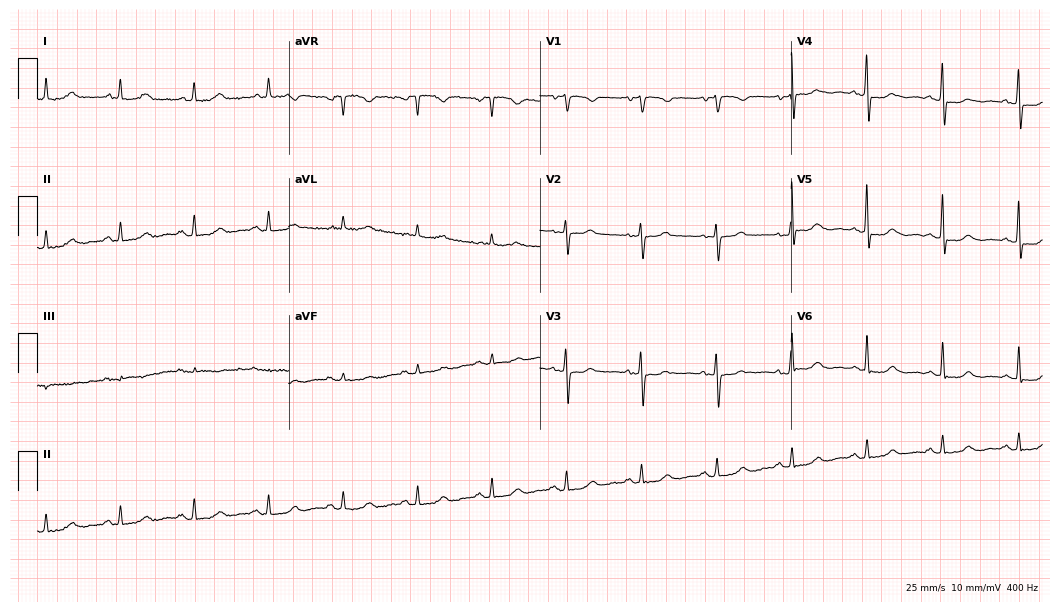
Resting 12-lead electrocardiogram (10.2-second recording at 400 Hz). Patient: a woman, 69 years old. Read as a normal ECG.